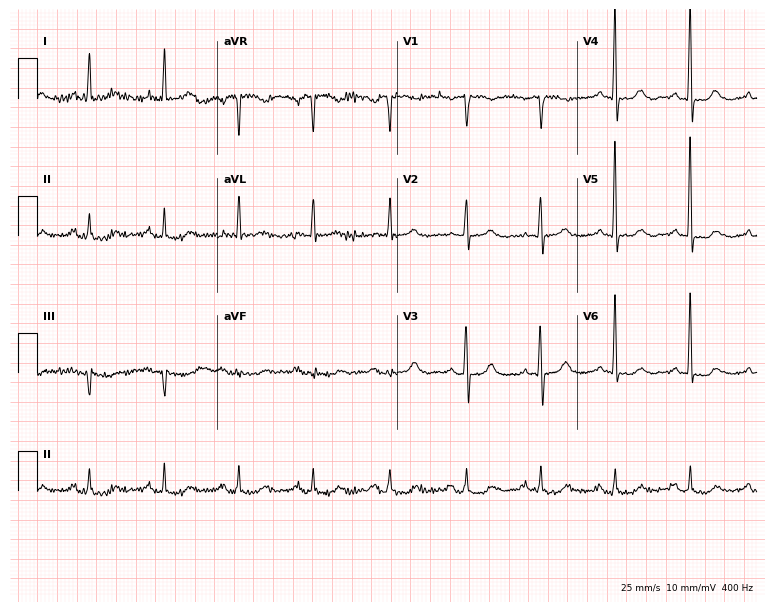
Electrocardiogram, a female, 79 years old. Of the six screened findings (first-degree AV block, right bundle branch block, left bundle branch block, sinus bradycardia, atrial fibrillation, sinus tachycardia), none is recorded.